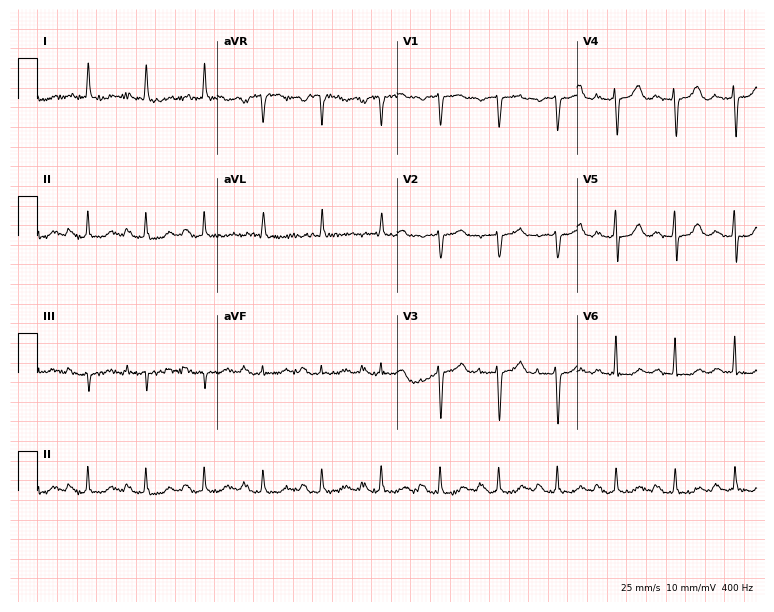
Electrocardiogram, a female, 77 years old. Overall reading on record: normal ECG.